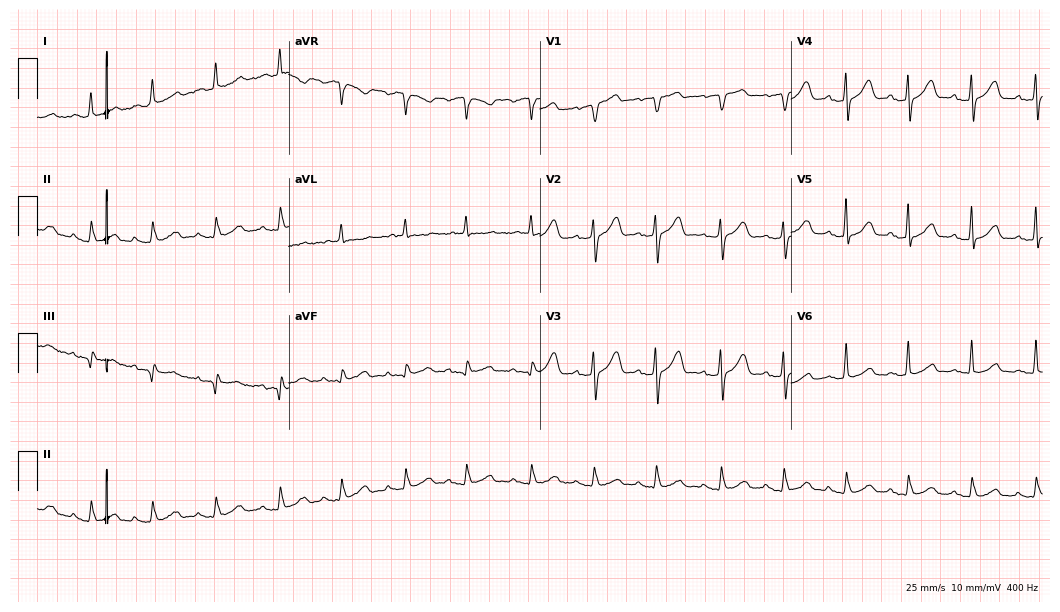
12-lead ECG from a 20-year-old female. Labelled as a normal ECG.